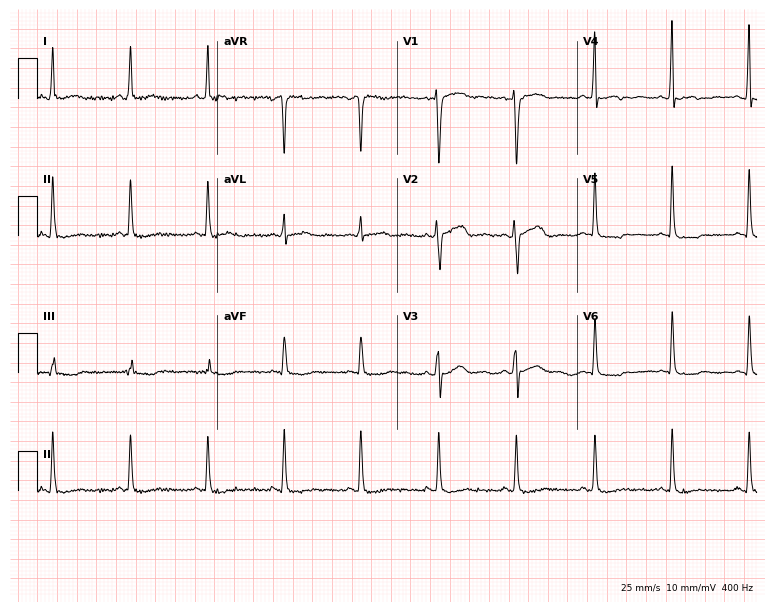
12-lead ECG from a female patient, 52 years old. No first-degree AV block, right bundle branch block (RBBB), left bundle branch block (LBBB), sinus bradycardia, atrial fibrillation (AF) or sinus tachycardia recorded for this tracing.